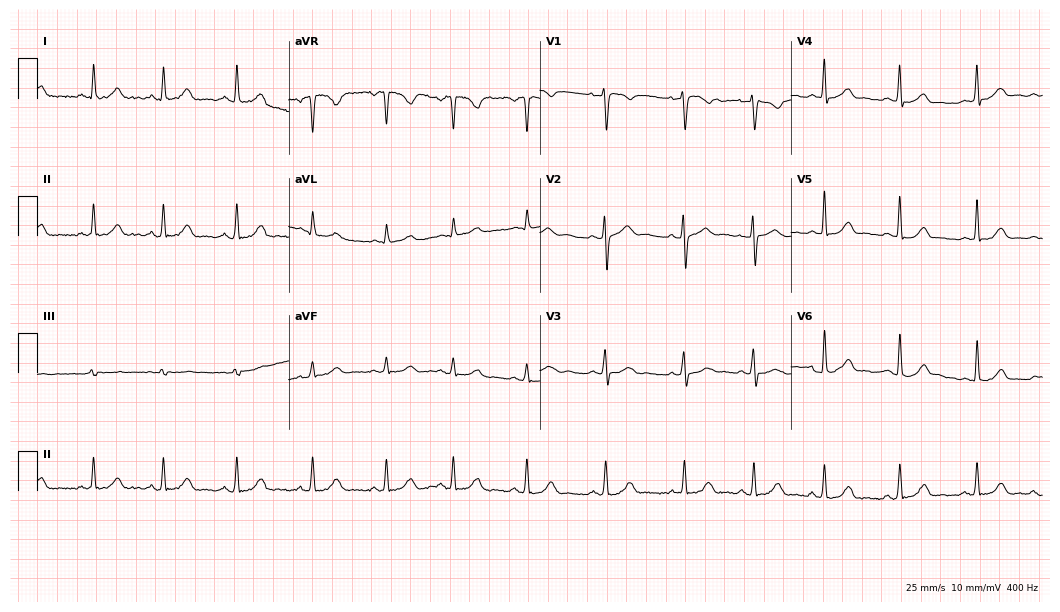
Electrocardiogram (10.2-second recording at 400 Hz), a female patient, 27 years old. Overall reading on record: normal ECG.